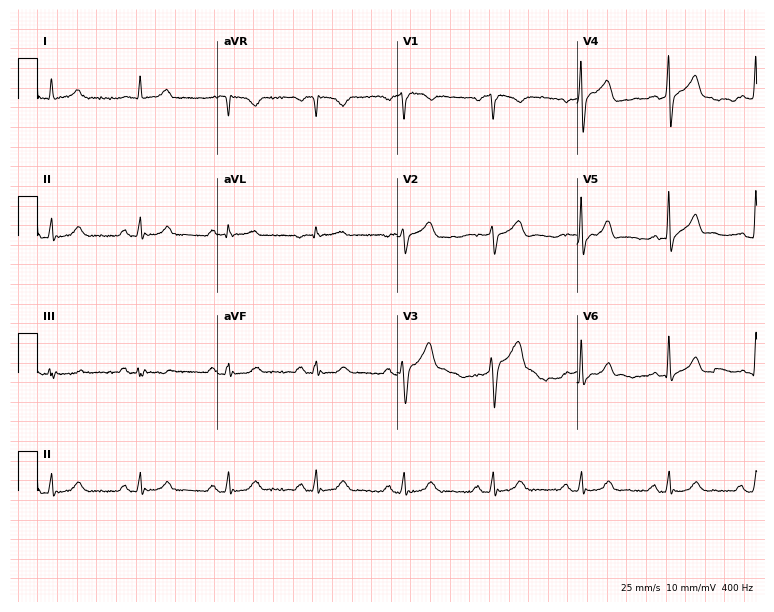
Standard 12-lead ECG recorded from a male patient, 68 years old (7.3-second recording at 400 Hz). None of these six findings is recorded: first-degree AV block, right bundle branch block (RBBB), left bundle branch block (LBBB), sinus bradycardia, atrial fibrillation (AF), sinus tachycardia.